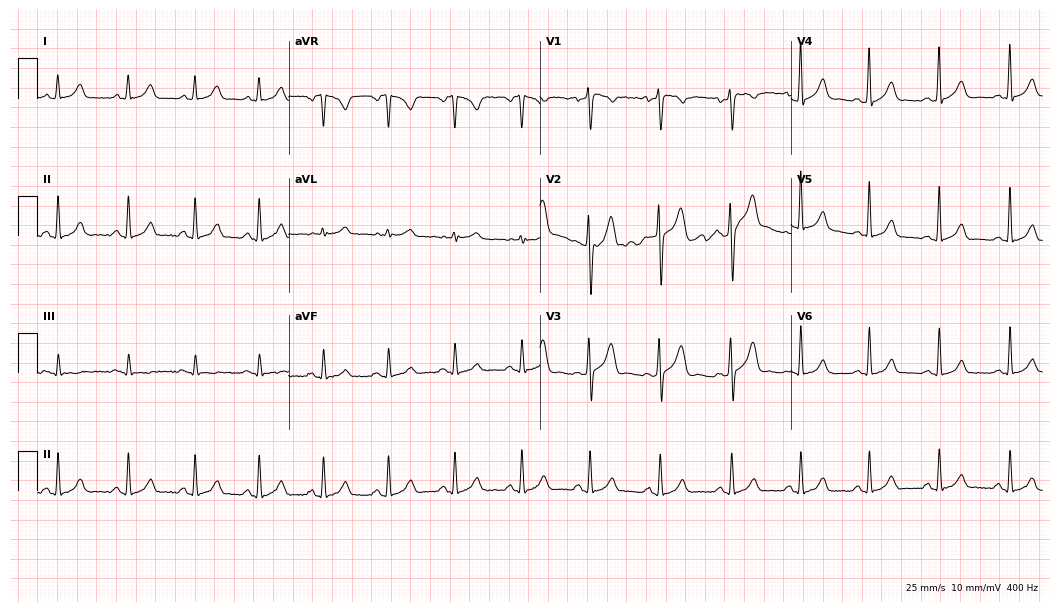
12-lead ECG from a 32-year-old man. Recorded interpretation: within normal limits.